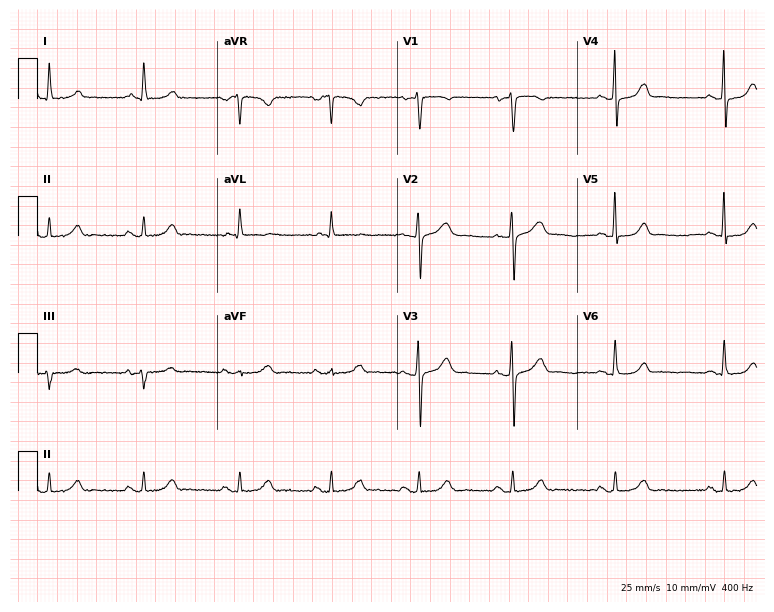
12-lead ECG from a female patient, 48 years old. No first-degree AV block, right bundle branch block, left bundle branch block, sinus bradycardia, atrial fibrillation or sinus tachycardia recorded for this tracing.